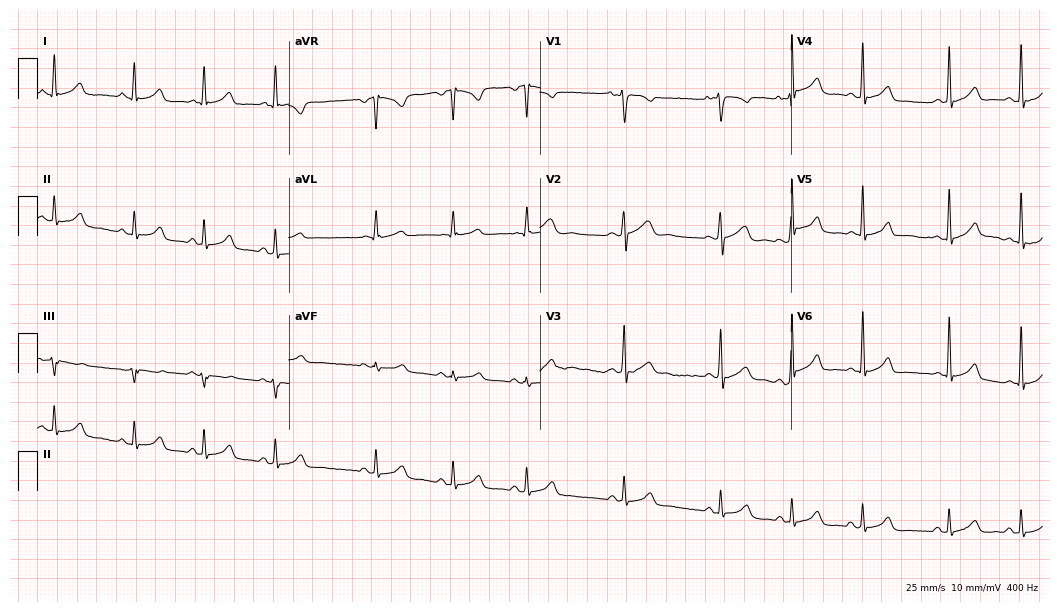
ECG (10.2-second recording at 400 Hz) — a 17-year-old male. Labelled as a normal ECG.